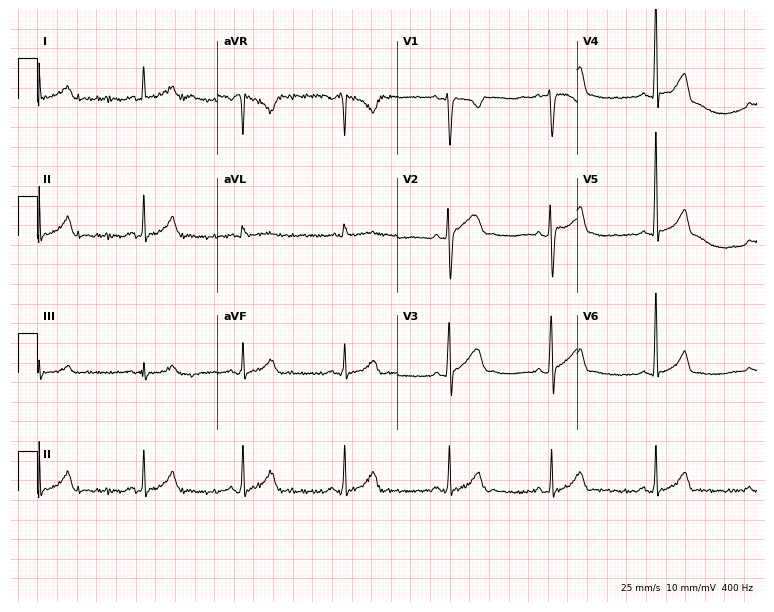
Resting 12-lead electrocardiogram. Patient: a 37-year-old man. Read as a normal ECG.